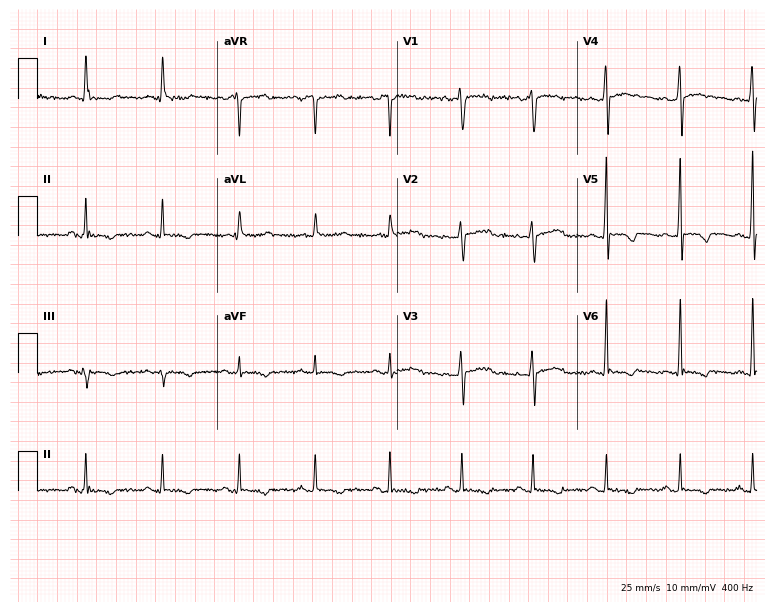
Electrocardiogram, a female patient, 50 years old. Of the six screened findings (first-degree AV block, right bundle branch block, left bundle branch block, sinus bradycardia, atrial fibrillation, sinus tachycardia), none is recorded. Only these six findings were labelled.